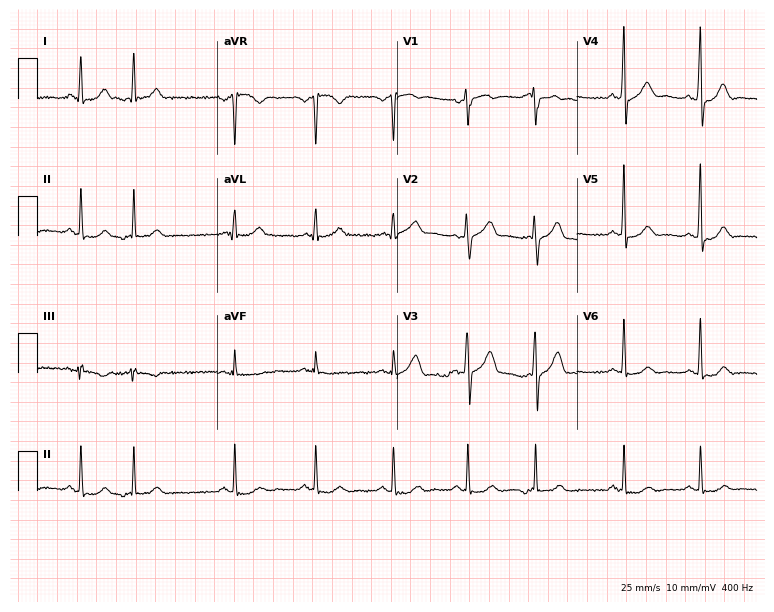
Resting 12-lead electrocardiogram. Patient: a male, 59 years old. None of these six findings is recorded: first-degree AV block, right bundle branch block, left bundle branch block, sinus bradycardia, atrial fibrillation, sinus tachycardia. Only these six findings were labelled.